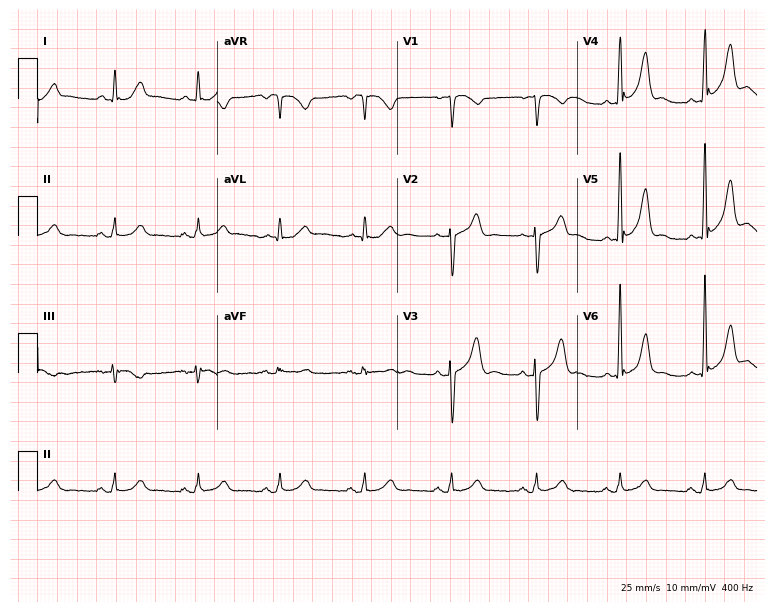
12-lead ECG from a 47-year-old male. Screened for six findings — first-degree AV block, right bundle branch block, left bundle branch block, sinus bradycardia, atrial fibrillation, sinus tachycardia — none is recorded.